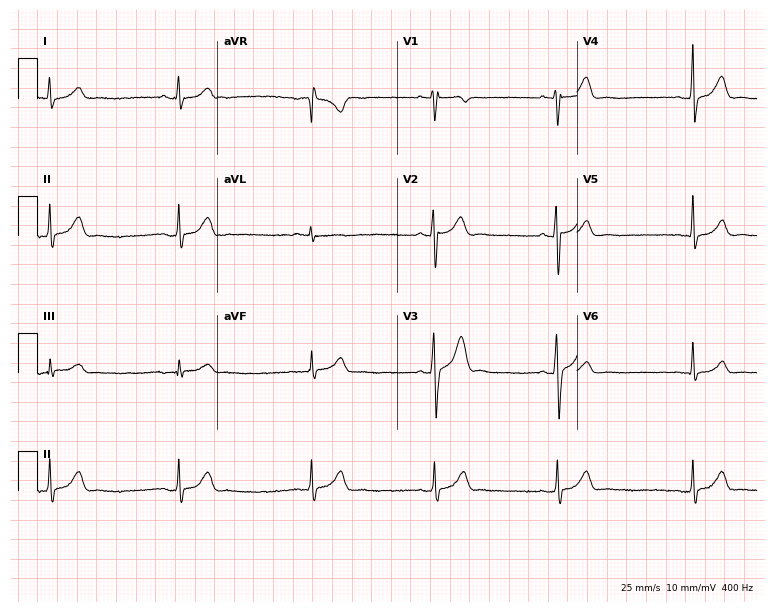
Electrocardiogram (7.3-second recording at 400 Hz), a man, 32 years old. Overall reading on record: normal ECG.